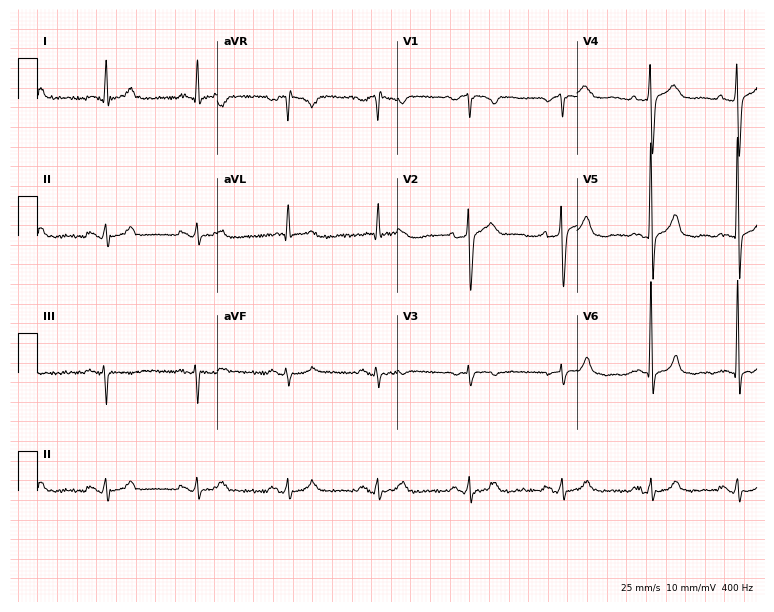
Resting 12-lead electrocardiogram. Patient: a 68-year-old man. Read as a normal ECG.